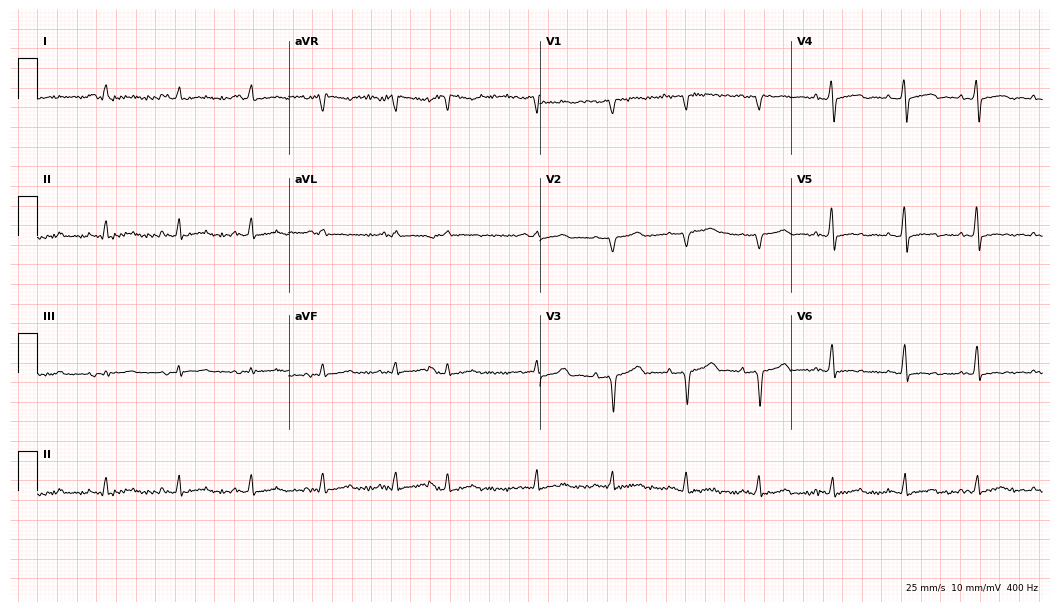
Resting 12-lead electrocardiogram (10.2-second recording at 400 Hz). Patient: a 63-year-old woman. None of these six findings is recorded: first-degree AV block, right bundle branch block, left bundle branch block, sinus bradycardia, atrial fibrillation, sinus tachycardia.